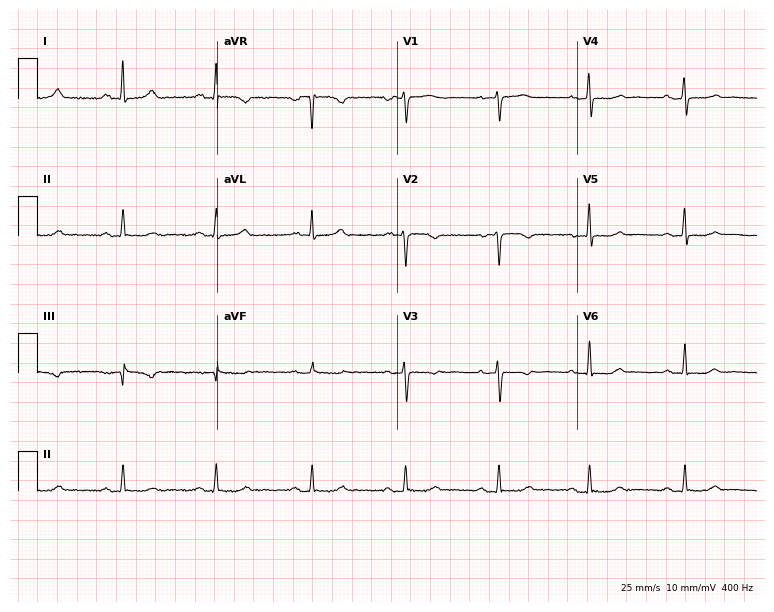
Standard 12-lead ECG recorded from a female, 51 years old (7.3-second recording at 400 Hz). None of these six findings is recorded: first-degree AV block, right bundle branch block (RBBB), left bundle branch block (LBBB), sinus bradycardia, atrial fibrillation (AF), sinus tachycardia. Only these six findings were labelled.